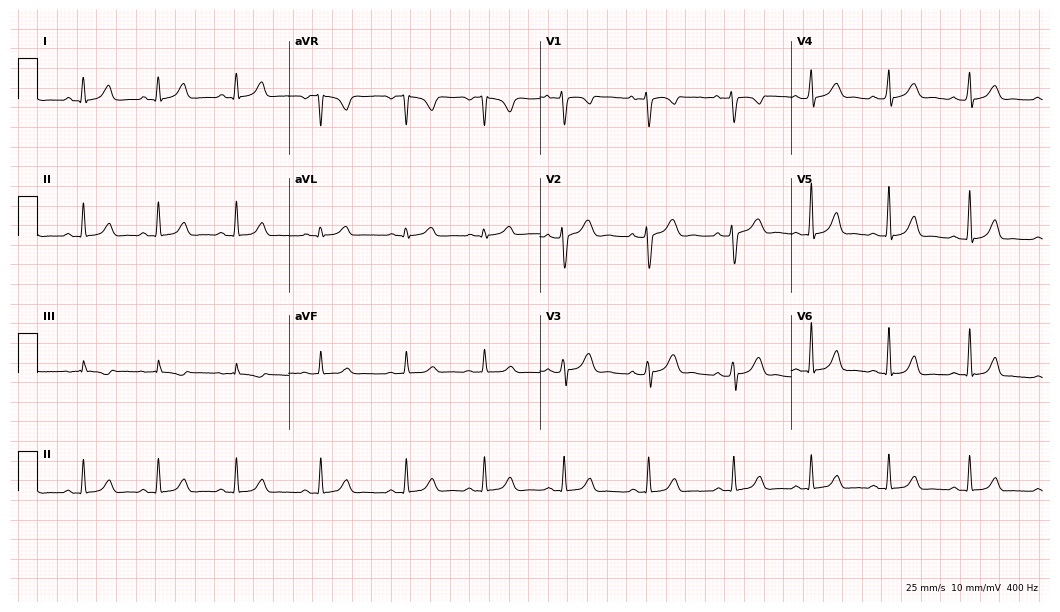
ECG (10.2-second recording at 400 Hz) — a 24-year-old female patient. Labelled as a normal ECG.